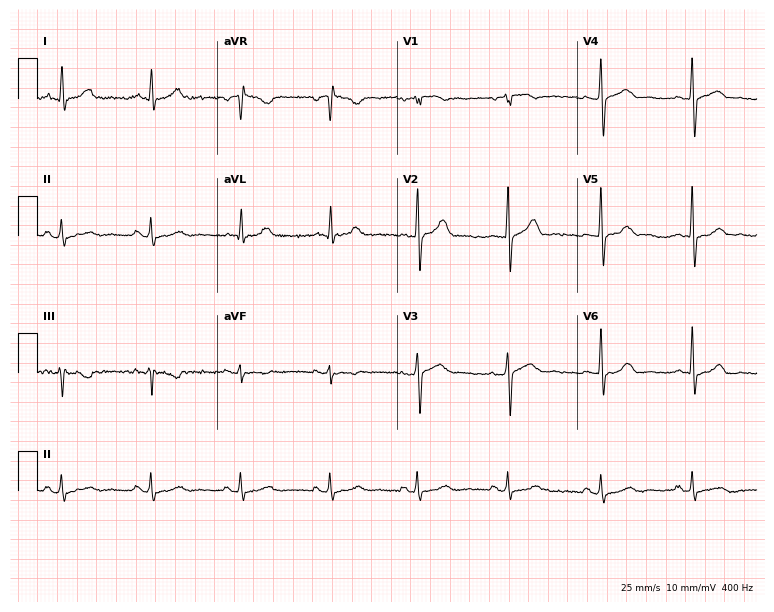
Electrocardiogram, a 54-year-old female patient. Overall reading on record: normal ECG.